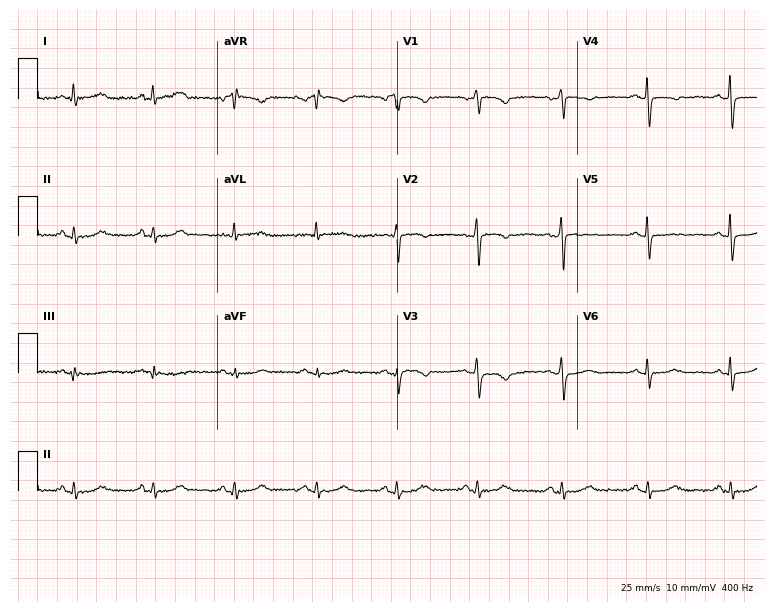
Resting 12-lead electrocardiogram. Patient: a woman, 56 years old. None of these six findings is recorded: first-degree AV block, right bundle branch block, left bundle branch block, sinus bradycardia, atrial fibrillation, sinus tachycardia.